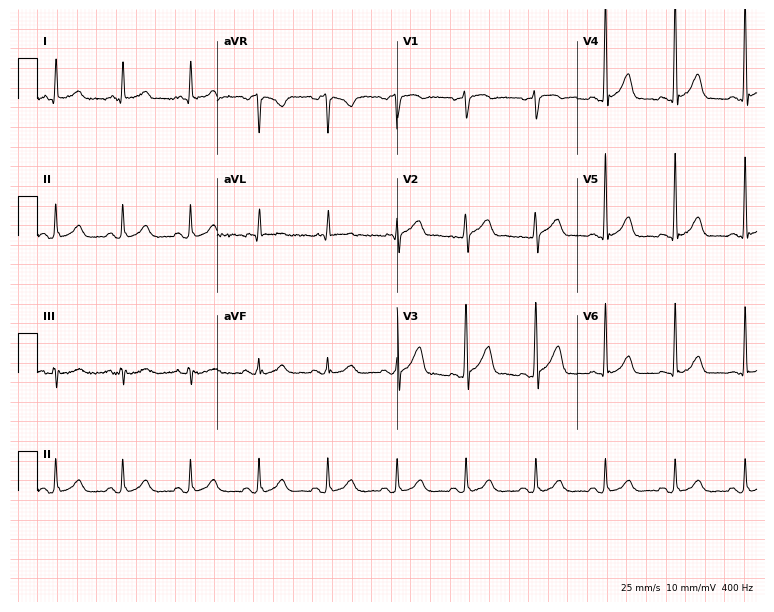
Electrocardiogram (7.3-second recording at 400 Hz), a 75-year-old male. Overall reading on record: normal ECG.